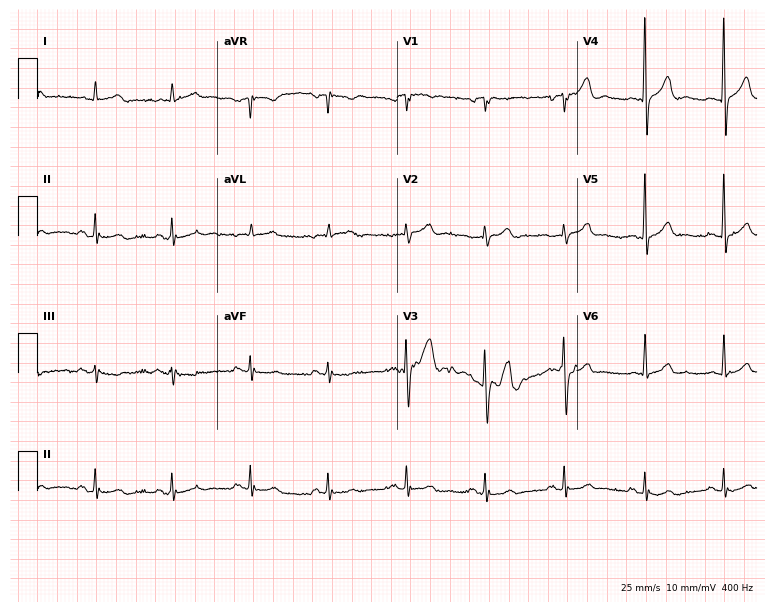
Resting 12-lead electrocardiogram (7.3-second recording at 400 Hz). Patient: an 82-year-old man. None of these six findings is recorded: first-degree AV block, right bundle branch block, left bundle branch block, sinus bradycardia, atrial fibrillation, sinus tachycardia.